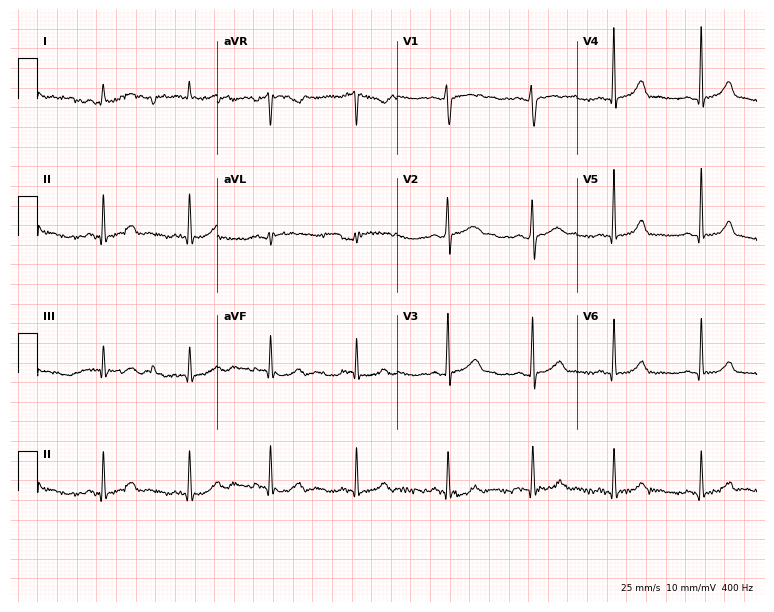
12-lead ECG from a 34-year-old female patient. No first-degree AV block, right bundle branch block, left bundle branch block, sinus bradycardia, atrial fibrillation or sinus tachycardia recorded for this tracing. Only these six findings were labelled.